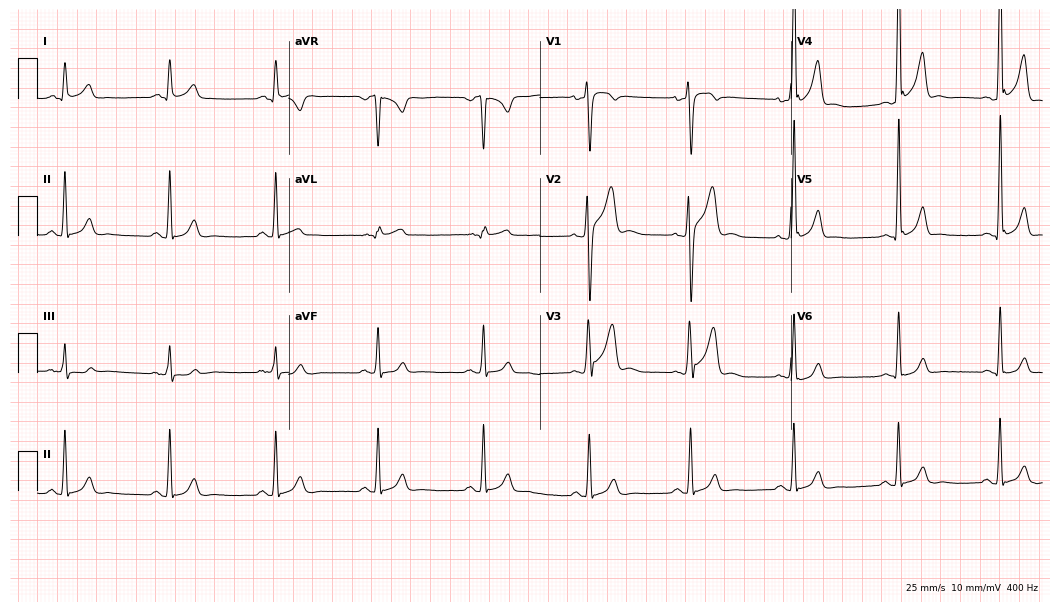
Resting 12-lead electrocardiogram. Patient: a man, 31 years old. None of these six findings is recorded: first-degree AV block, right bundle branch block (RBBB), left bundle branch block (LBBB), sinus bradycardia, atrial fibrillation (AF), sinus tachycardia. Findings outside these six are not listed.